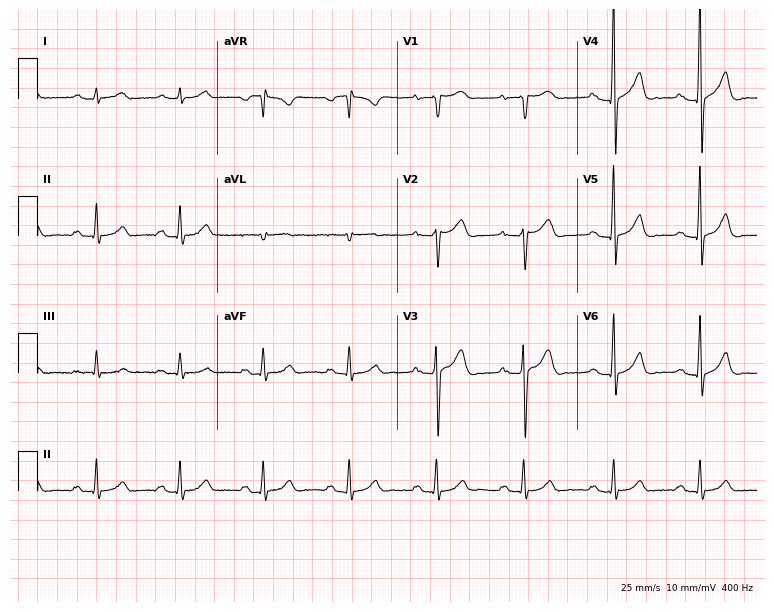
Electrocardiogram (7.3-second recording at 400 Hz), a male, 49 years old. Overall reading on record: normal ECG.